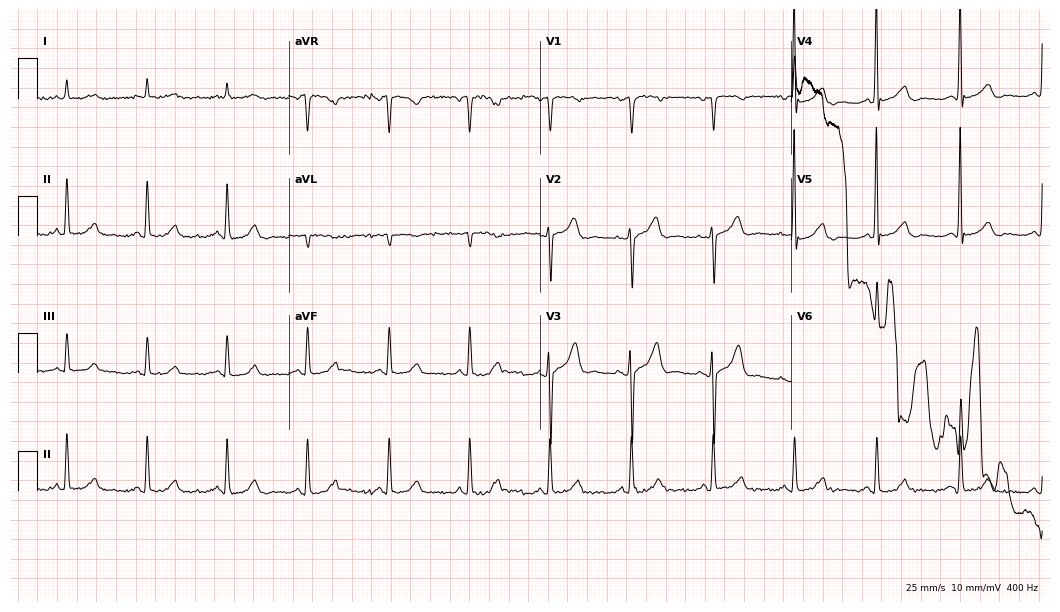
12-lead ECG from a woman, 79 years old (10.2-second recording at 400 Hz). No first-degree AV block, right bundle branch block, left bundle branch block, sinus bradycardia, atrial fibrillation or sinus tachycardia recorded for this tracing.